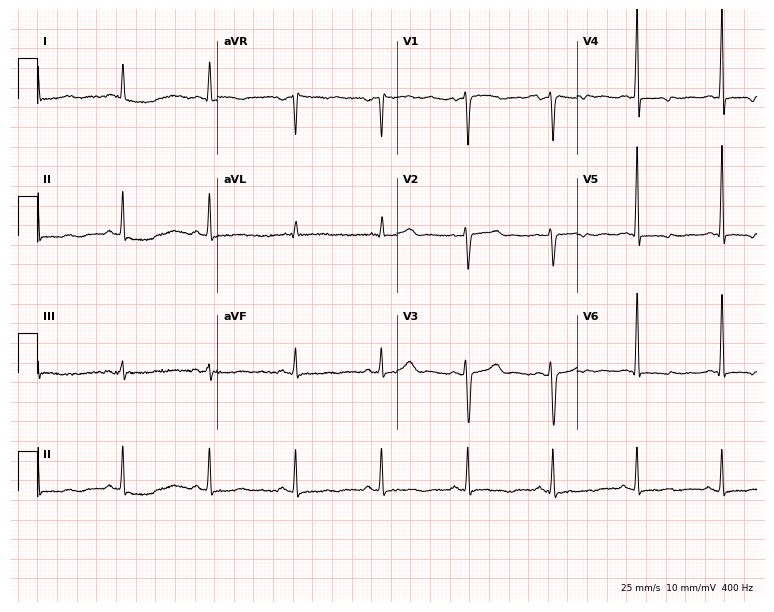
12-lead ECG from a 49-year-old female patient. Screened for six findings — first-degree AV block, right bundle branch block, left bundle branch block, sinus bradycardia, atrial fibrillation, sinus tachycardia — none is recorded.